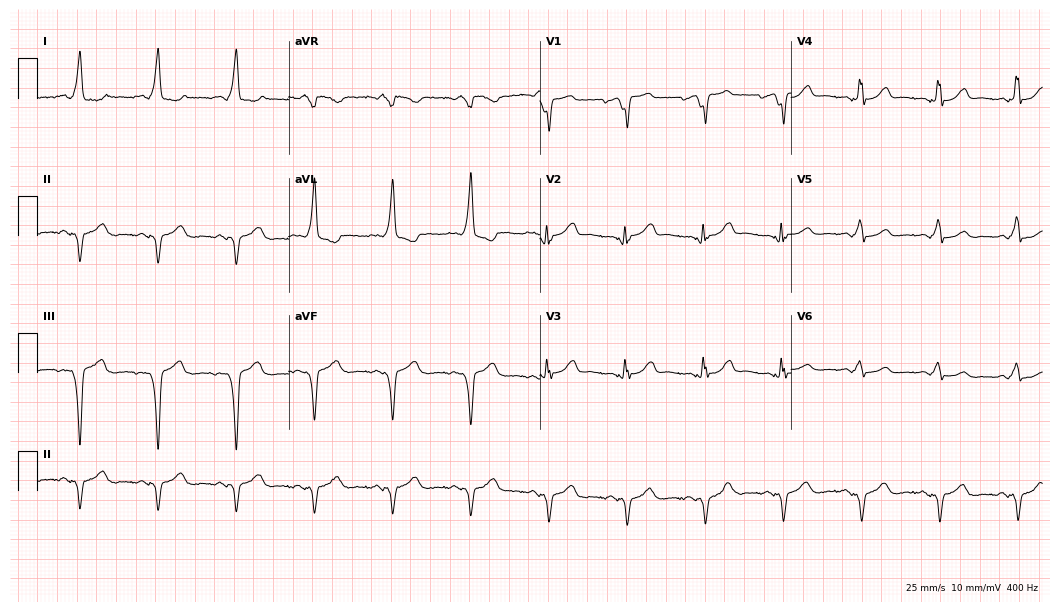
12-lead ECG from a 72-year-old female (10.2-second recording at 400 Hz). No first-degree AV block, right bundle branch block, left bundle branch block, sinus bradycardia, atrial fibrillation or sinus tachycardia recorded for this tracing.